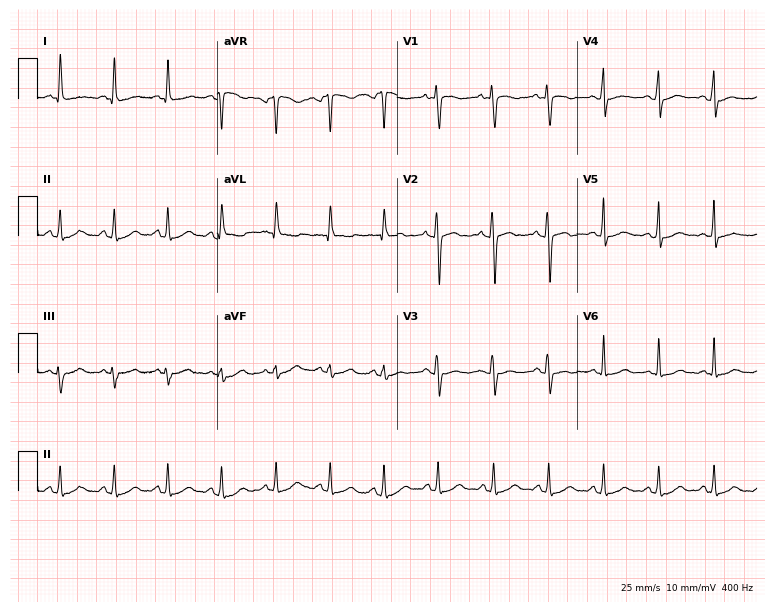
12-lead ECG from a woman, 19 years old. Shows sinus tachycardia (a sinus rate of 100 beats per minute or more).